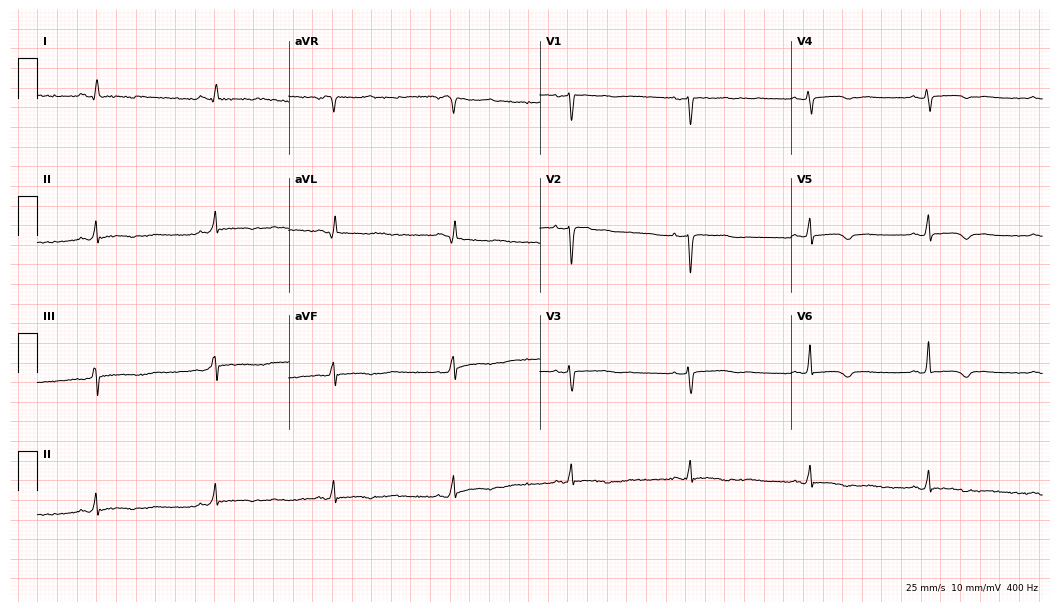
Resting 12-lead electrocardiogram (10.2-second recording at 400 Hz). Patient: a 54-year-old female. None of these six findings is recorded: first-degree AV block, right bundle branch block (RBBB), left bundle branch block (LBBB), sinus bradycardia, atrial fibrillation (AF), sinus tachycardia.